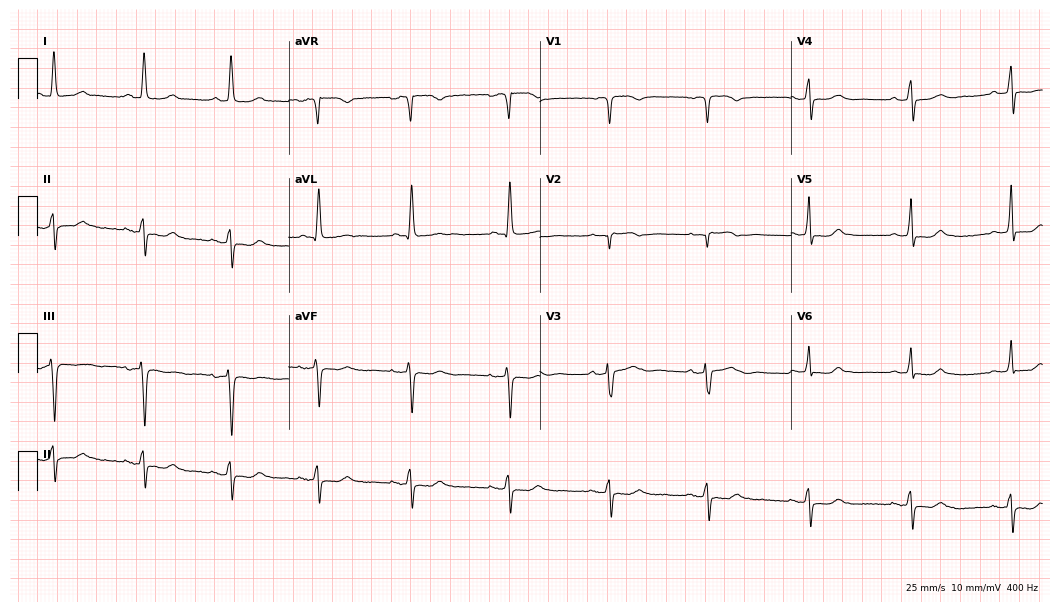
12-lead ECG (10.2-second recording at 400 Hz) from a 65-year-old female. Labelled as a normal ECG.